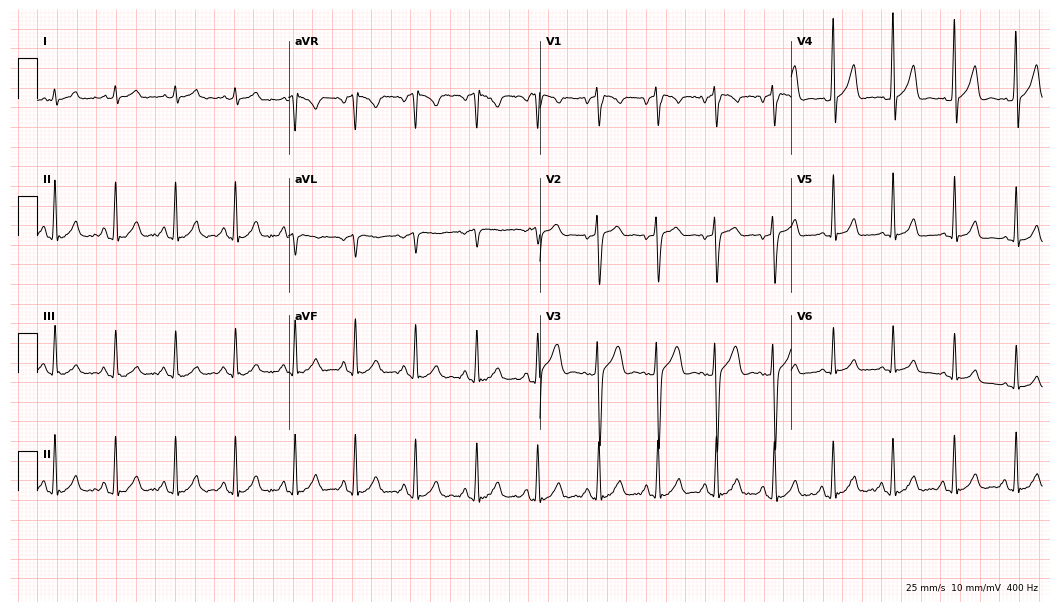
ECG (10.2-second recording at 400 Hz) — a man, 25 years old. Screened for six findings — first-degree AV block, right bundle branch block, left bundle branch block, sinus bradycardia, atrial fibrillation, sinus tachycardia — none is recorded.